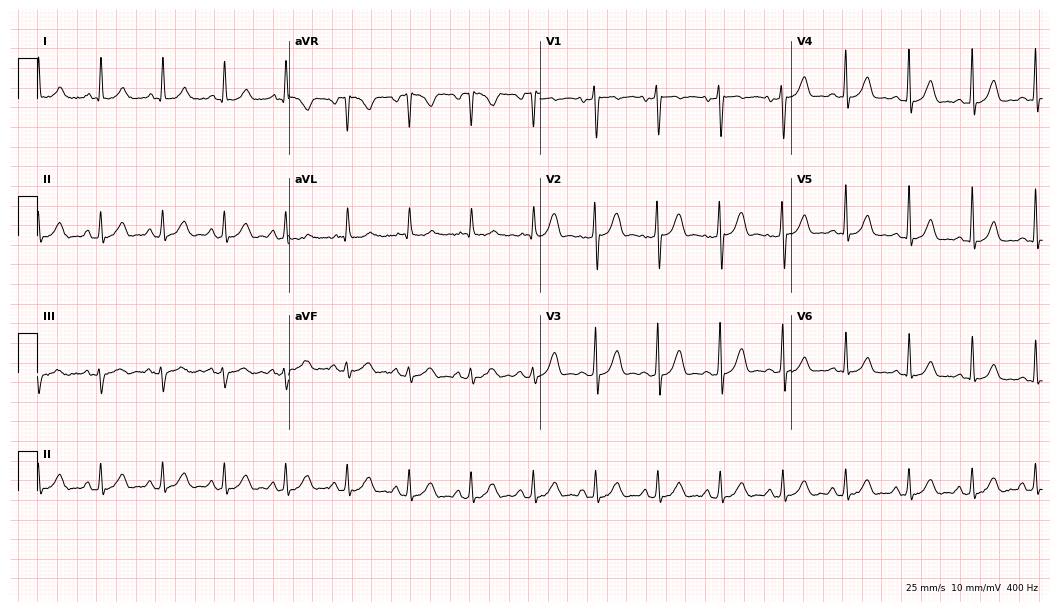
Resting 12-lead electrocardiogram (10.2-second recording at 400 Hz). Patient: a female, 58 years old. None of these six findings is recorded: first-degree AV block, right bundle branch block, left bundle branch block, sinus bradycardia, atrial fibrillation, sinus tachycardia. Findings outside these six are not listed.